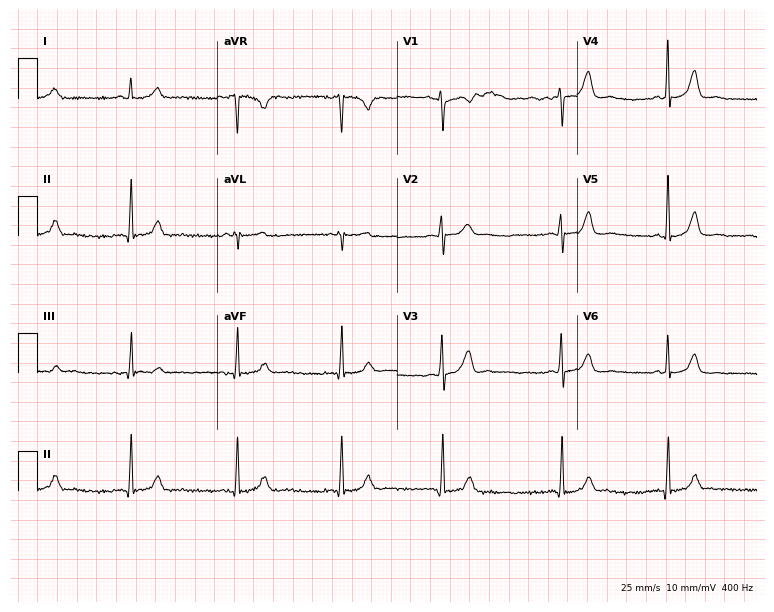
Standard 12-lead ECG recorded from a 38-year-old woman. None of these six findings is recorded: first-degree AV block, right bundle branch block (RBBB), left bundle branch block (LBBB), sinus bradycardia, atrial fibrillation (AF), sinus tachycardia. Only these six findings were labelled.